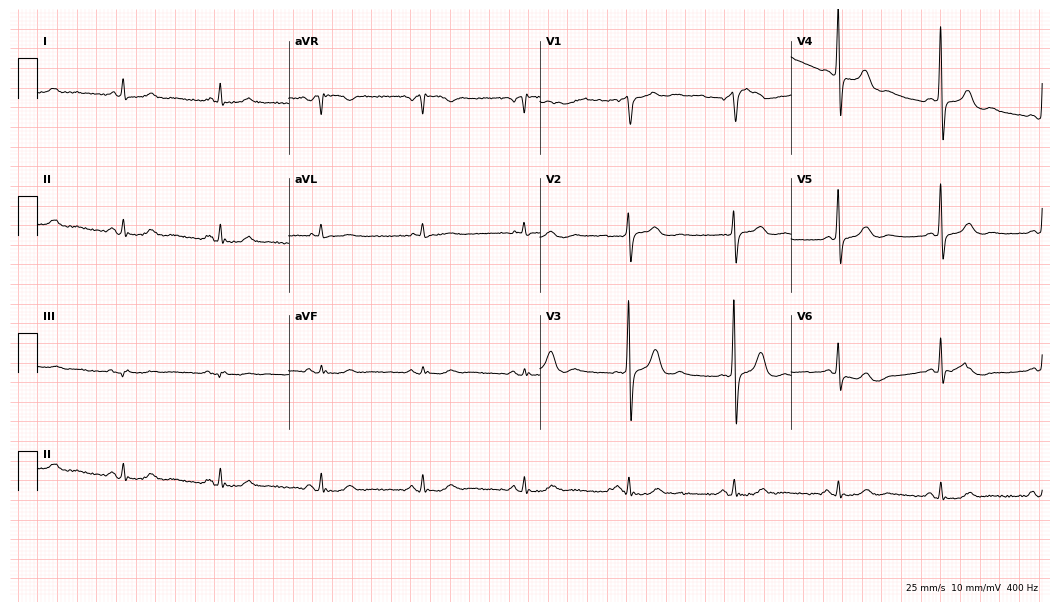
Standard 12-lead ECG recorded from an 84-year-old male (10.2-second recording at 400 Hz). Read as a normal ECG.